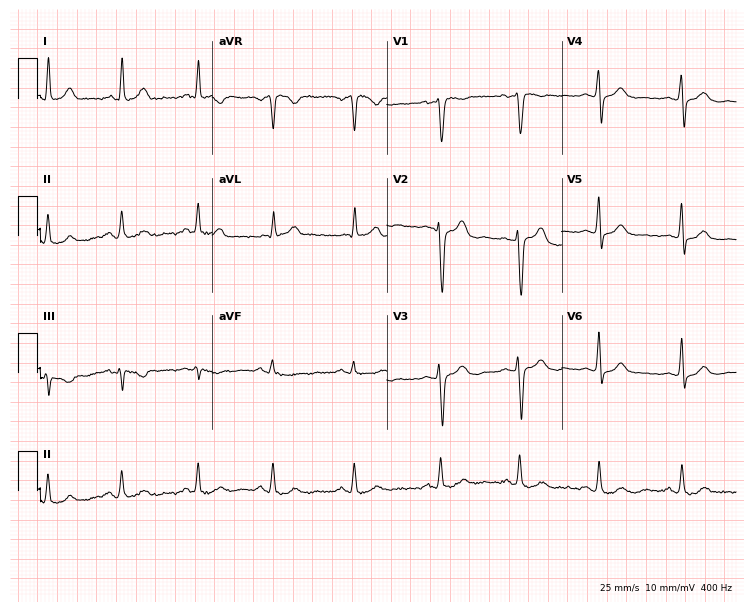
ECG (7.1-second recording at 400 Hz) — a 44-year-old female patient. Screened for six findings — first-degree AV block, right bundle branch block, left bundle branch block, sinus bradycardia, atrial fibrillation, sinus tachycardia — none is recorded. Findings outside these six are not listed.